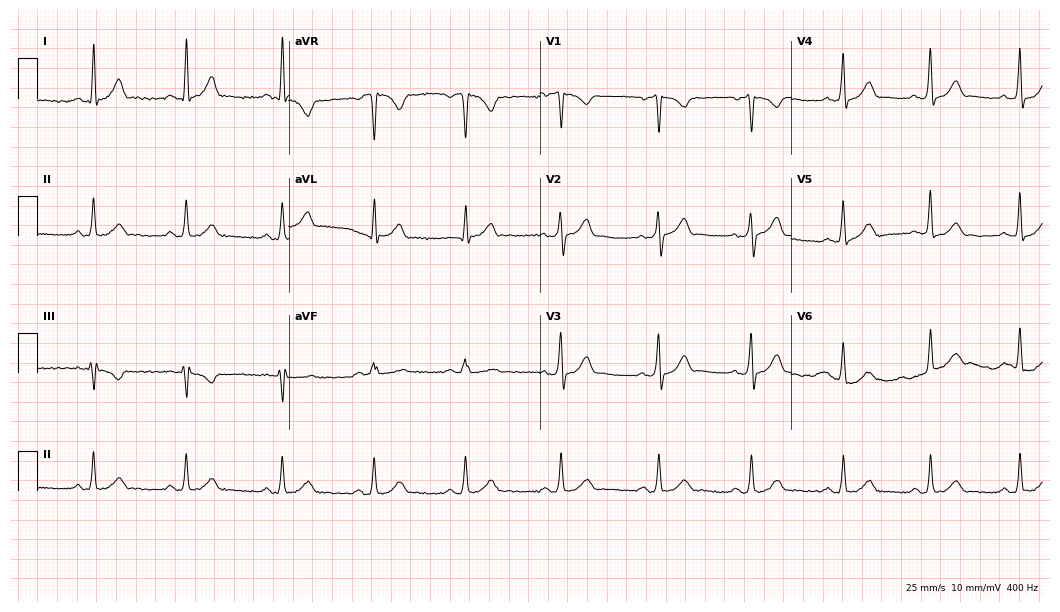
12-lead ECG (10.2-second recording at 400 Hz) from a male, 41 years old. Labelled as a normal ECG.